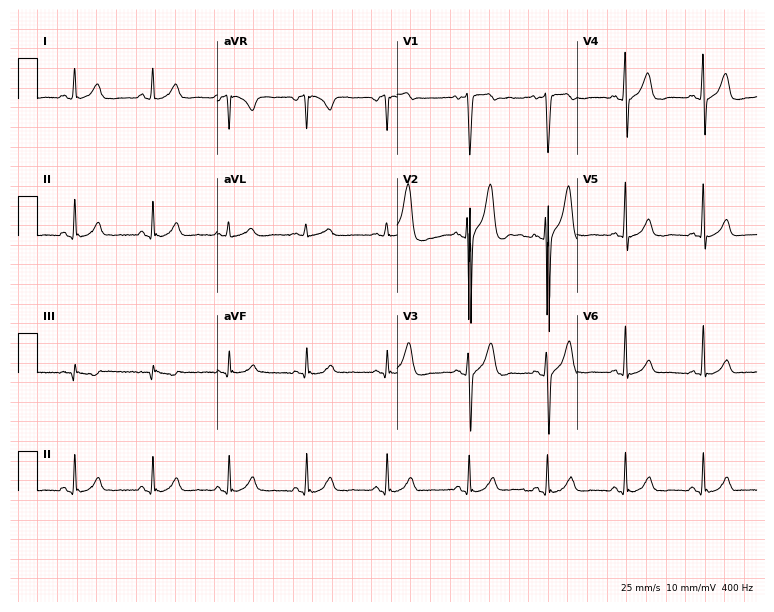
Electrocardiogram (7.3-second recording at 400 Hz), a man, 32 years old. Overall reading on record: normal ECG.